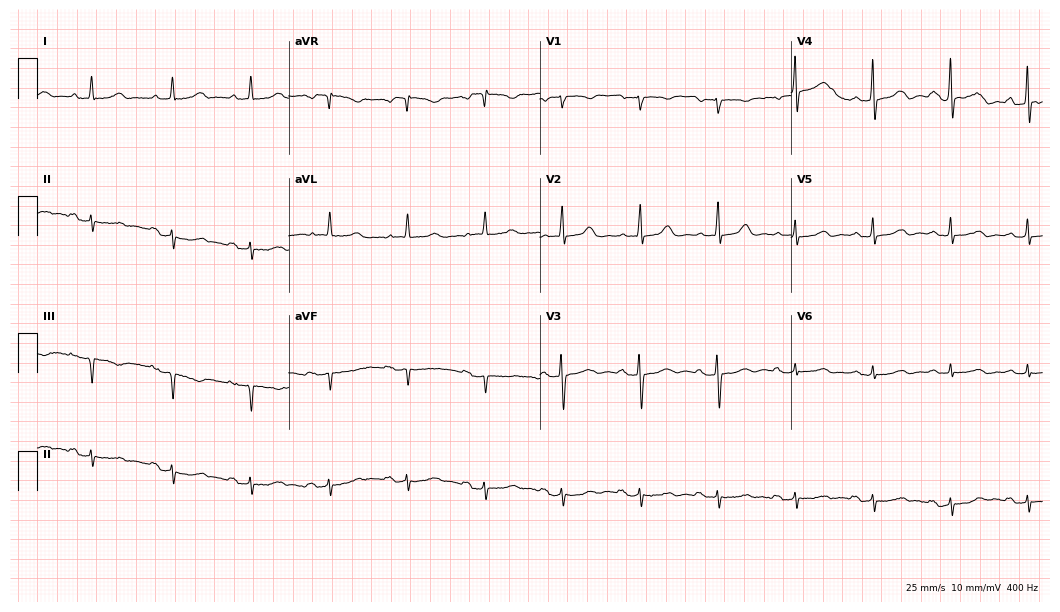
12-lead ECG (10.2-second recording at 400 Hz) from a female, 85 years old. Labelled as a normal ECG.